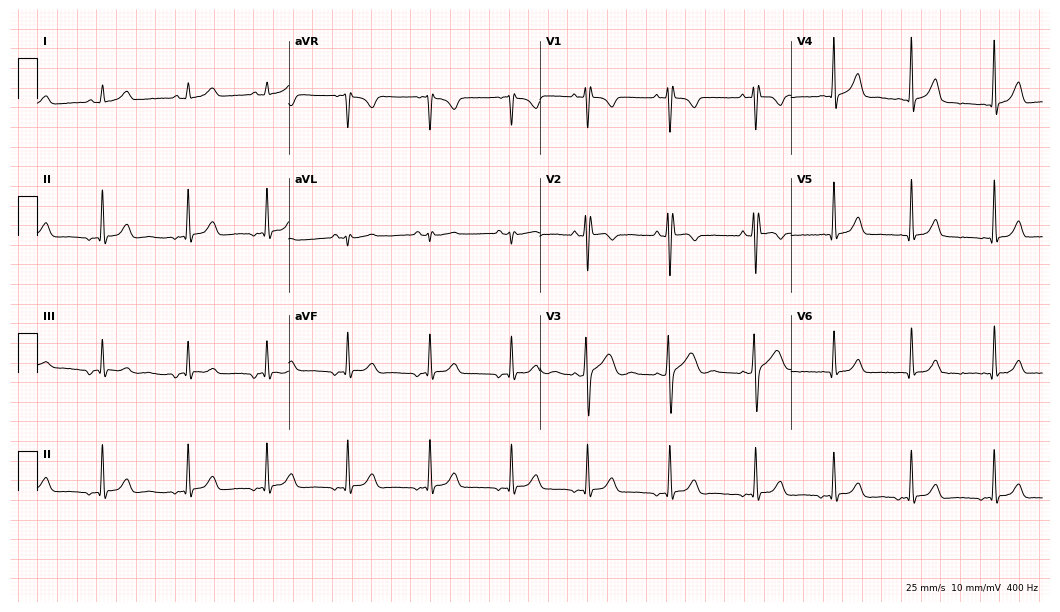
Electrocardiogram, a woman, 17 years old. Of the six screened findings (first-degree AV block, right bundle branch block (RBBB), left bundle branch block (LBBB), sinus bradycardia, atrial fibrillation (AF), sinus tachycardia), none is recorded. Only these six findings were labelled.